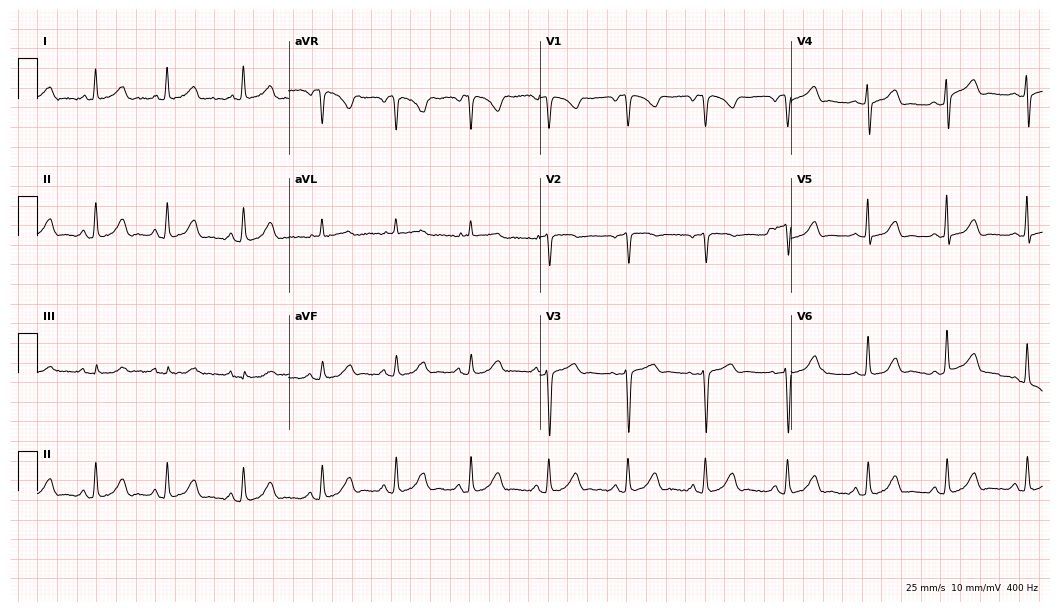
Electrocardiogram (10.2-second recording at 400 Hz), a female, 52 years old. Overall reading on record: normal ECG.